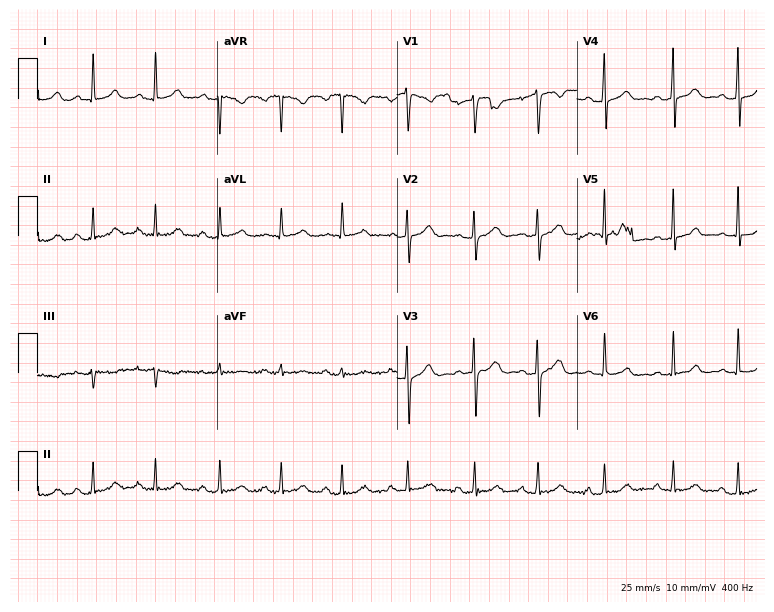
ECG — a 26-year-old woman. Labelled as a normal ECG.